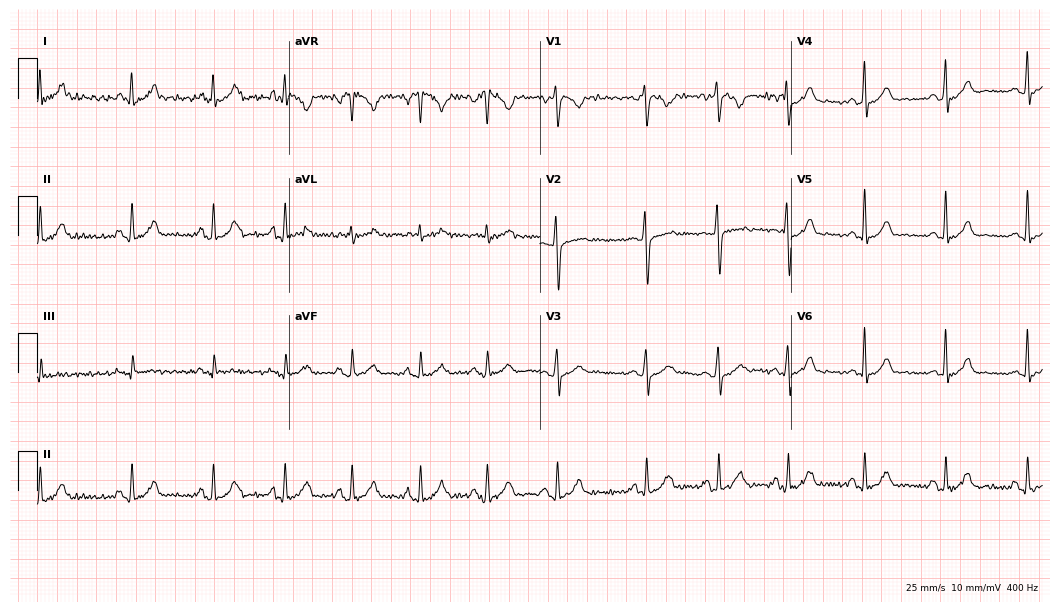
12-lead ECG (10.2-second recording at 400 Hz) from a 24-year-old man. Labelled as a normal ECG.